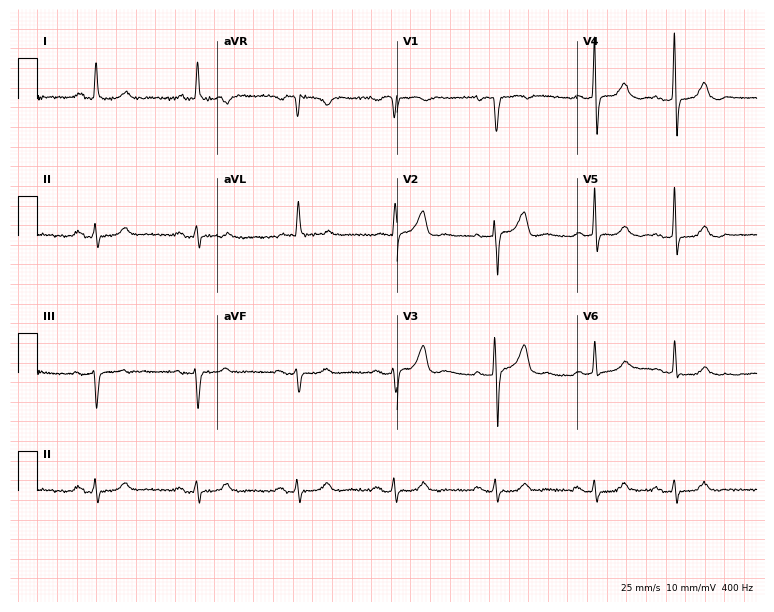
12-lead ECG (7.3-second recording at 400 Hz) from a 79-year-old man. Screened for six findings — first-degree AV block, right bundle branch block, left bundle branch block, sinus bradycardia, atrial fibrillation, sinus tachycardia — none is recorded. Findings outside these six are not listed.